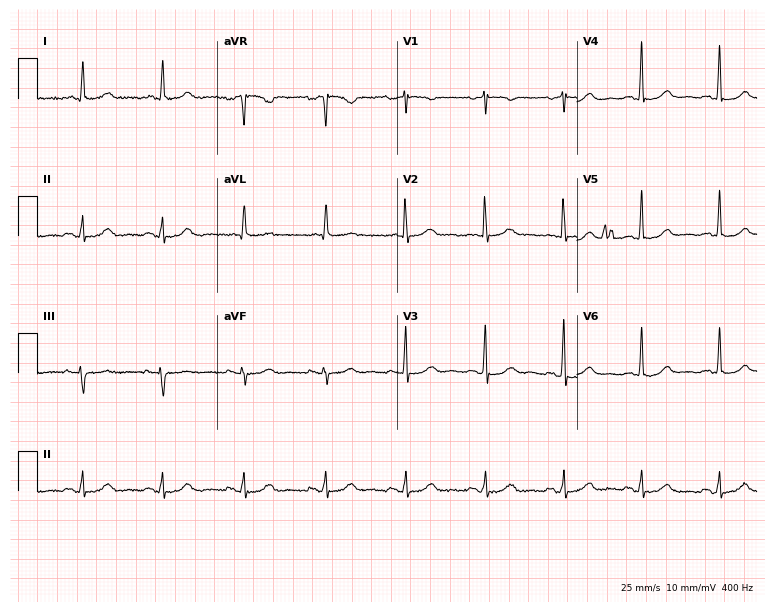
12-lead ECG from a woman, 76 years old (7.3-second recording at 400 Hz). No first-degree AV block, right bundle branch block (RBBB), left bundle branch block (LBBB), sinus bradycardia, atrial fibrillation (AF) or sinus tachycardia recorded for this tracing. Findings outside these six are not listed.